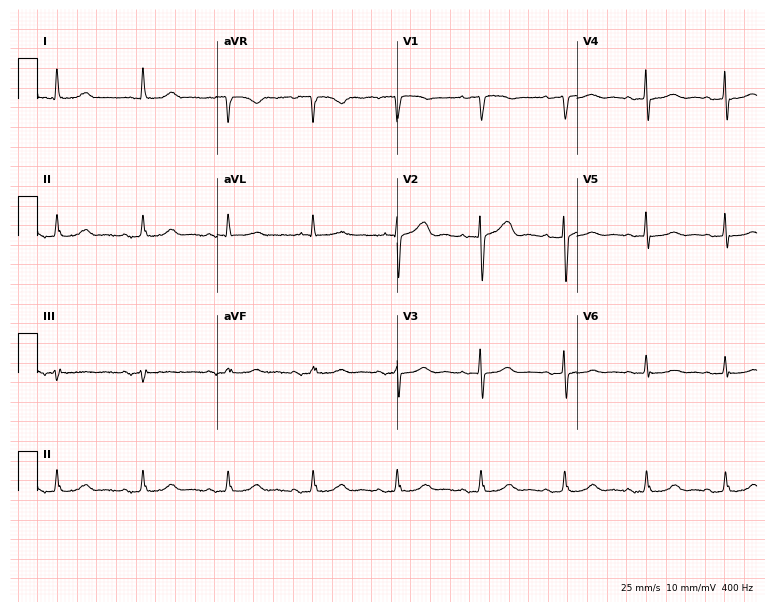
Electrocardiogram (7.3-second recording at 400 Hz), a 79-year-old female. Overall reading on record: normal ECG.